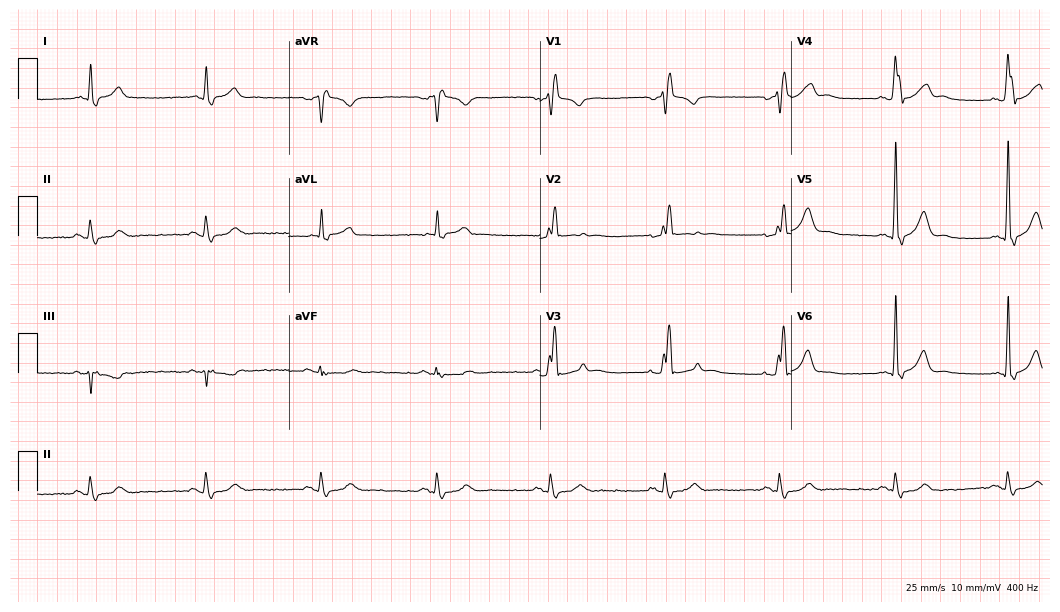
Electrocardiogram (10.2-second recording at 400 Hz), a 68-year-old male. Interpretation includes right bundle branch block.